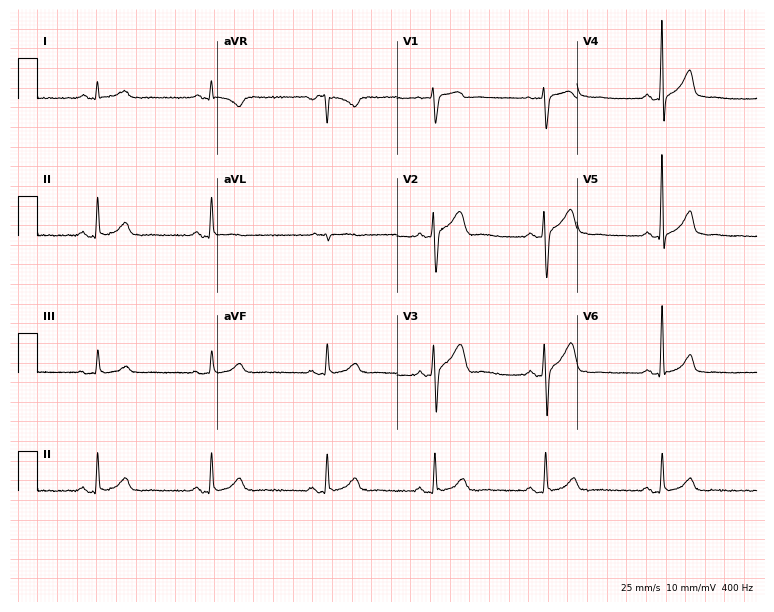
ECG (7.3-second recording at 400 Hz) — a male, 51 years old. Screened for six findings — first-degree AV block, right bundle branch block, left bundle branch block, sinus bradycardia, atrial fibrillation, sinus tachycardia — none is recorded. Findings outside these six are not listed.